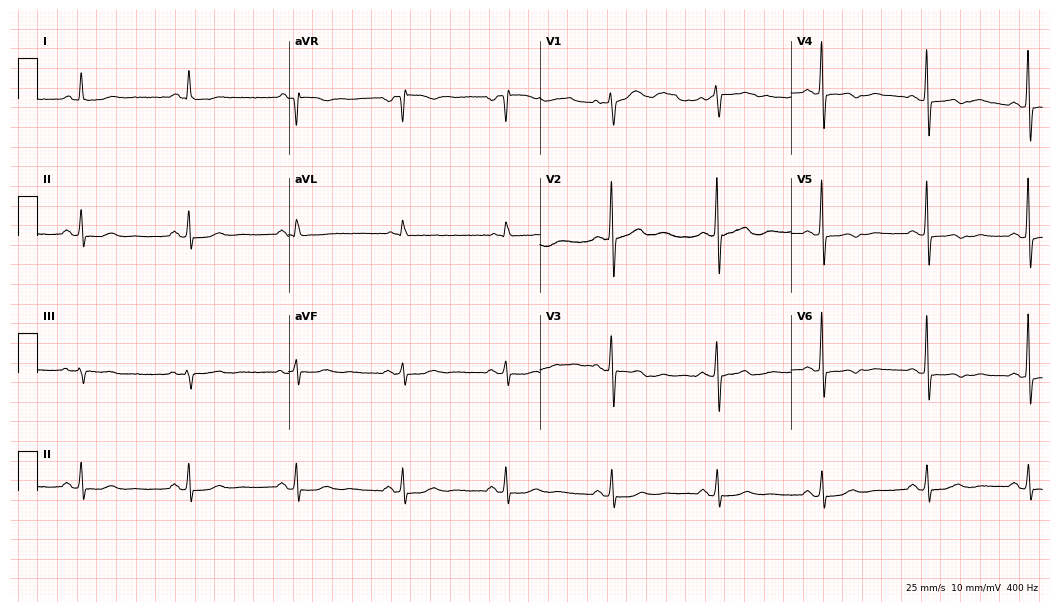
ECG (10.2-second recording at 400 Hz) — a 66-year-old female. Screened for six findings — first-degree AV block, right bundle branch block, left bundle branch block, sinus bradycardia, atrial fibrillation, sinus tachycardia — none is recorded.